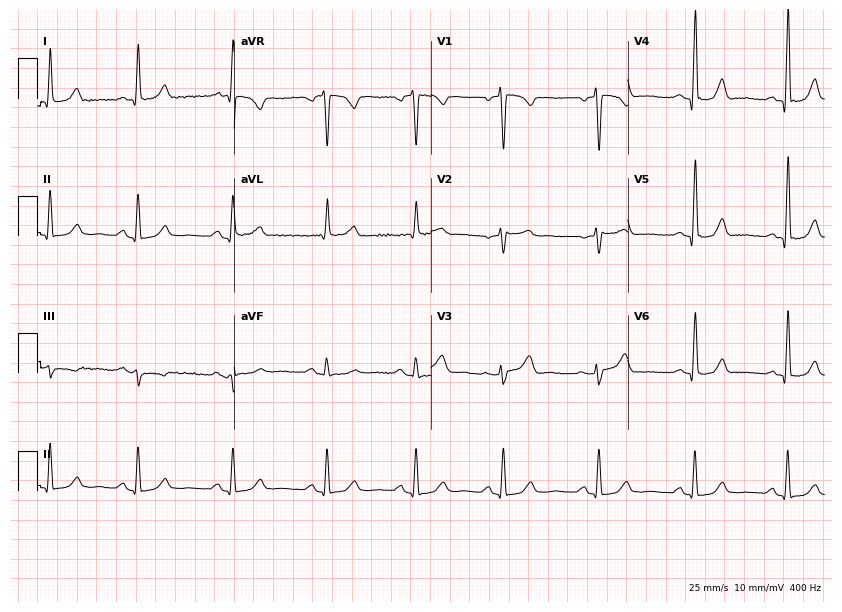
Electrocardiogram, a female, 59 years old. Overall reading on record: normal ECG.